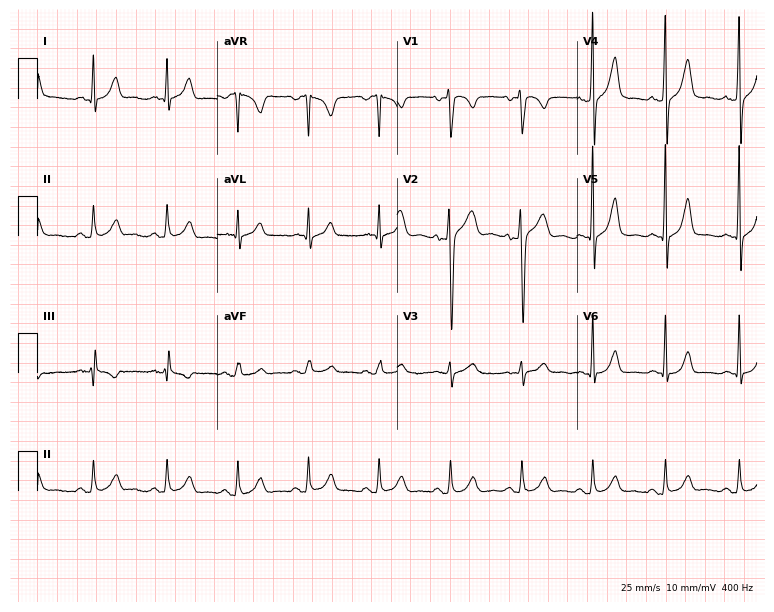
ECG (7.3-second recording at 400 Hz) — a 39-year-old man. Labelled as a normal ECG.